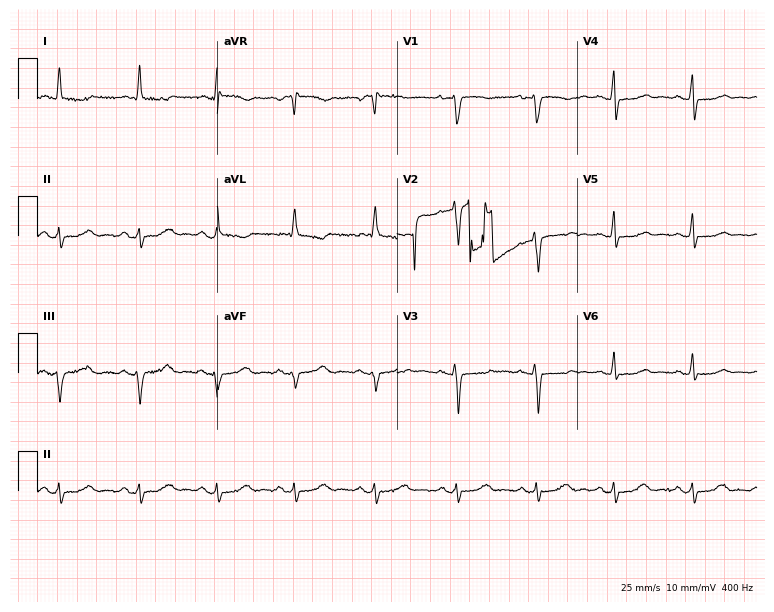
Electrocardiogram (7.3-second recording at 400 Hz), a female patient, 64 years old. Of the six screened findings (first-degree AV block, right bundle branch block, left bundle branch block, sinus bradycardia, atrial fibrillation, sinus tachycardia), none is recorded. Other findings, if any, are not listed.